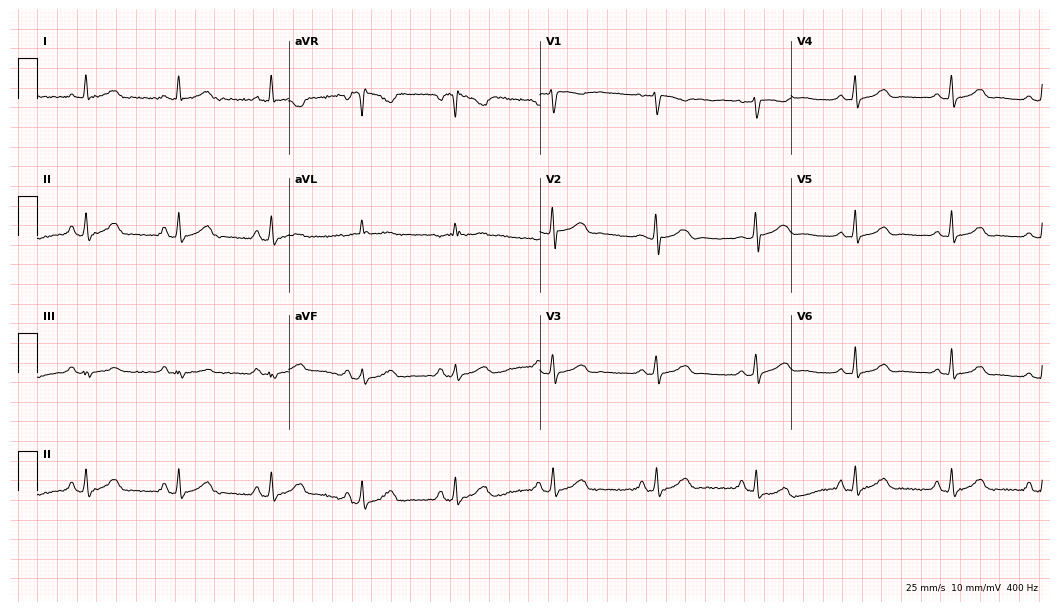
Electrocardiogram (10.2-second recording at 400 Hz), a female patient, 38 years old. Overall reading on record: normal ECG.